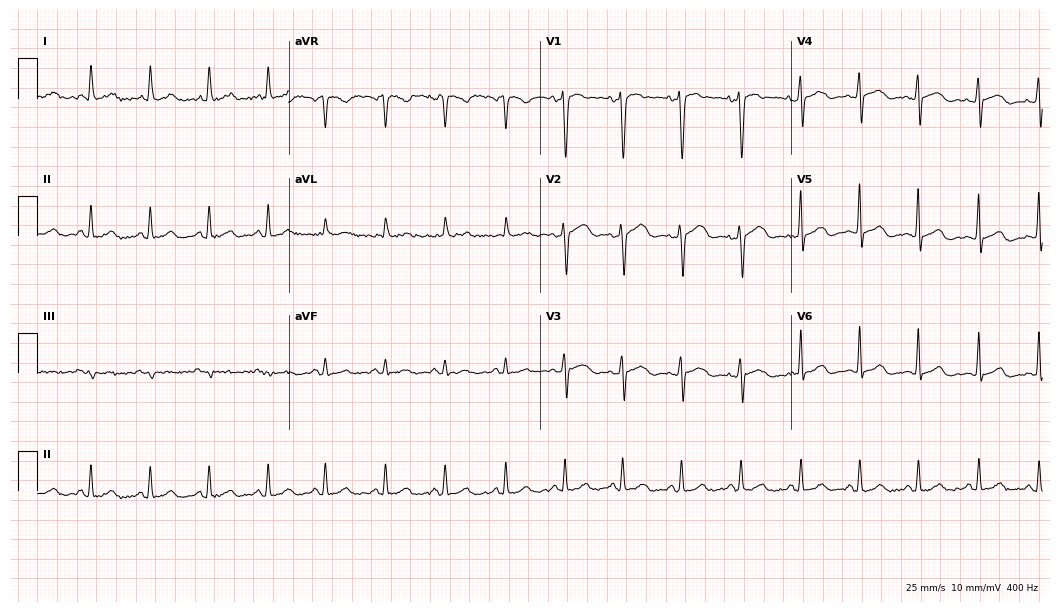
Resting 12-lead electrocardiogram. Patient: a 40-year-old woman. Read as a normal ECG.